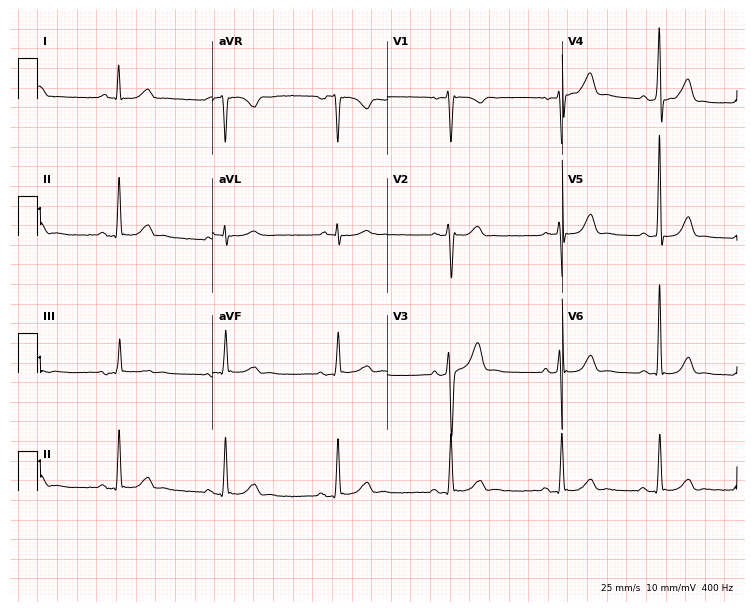
12-lead ECG from a 46-year-old man. Screened for six findings — first-degree AV block, right bundle branch block (RBBB), left bundle branch block (LBBB), sinus bradycardia, atrial fibrillation (AF), sinus tachycardia — none is recorded.